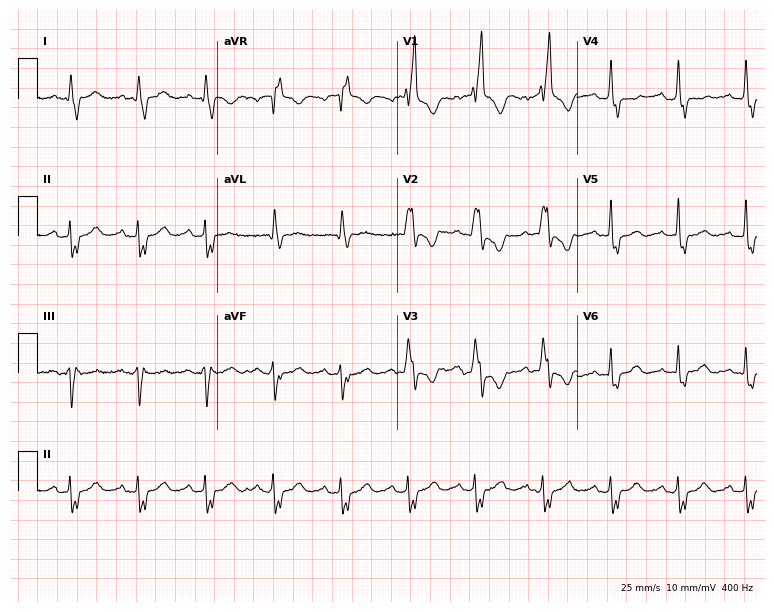
Resting 12-lead electrocardiogram (7.3-second recording at 400 Hz). Patient: a male, 79 years old. The tracing shows right bundle branch block.